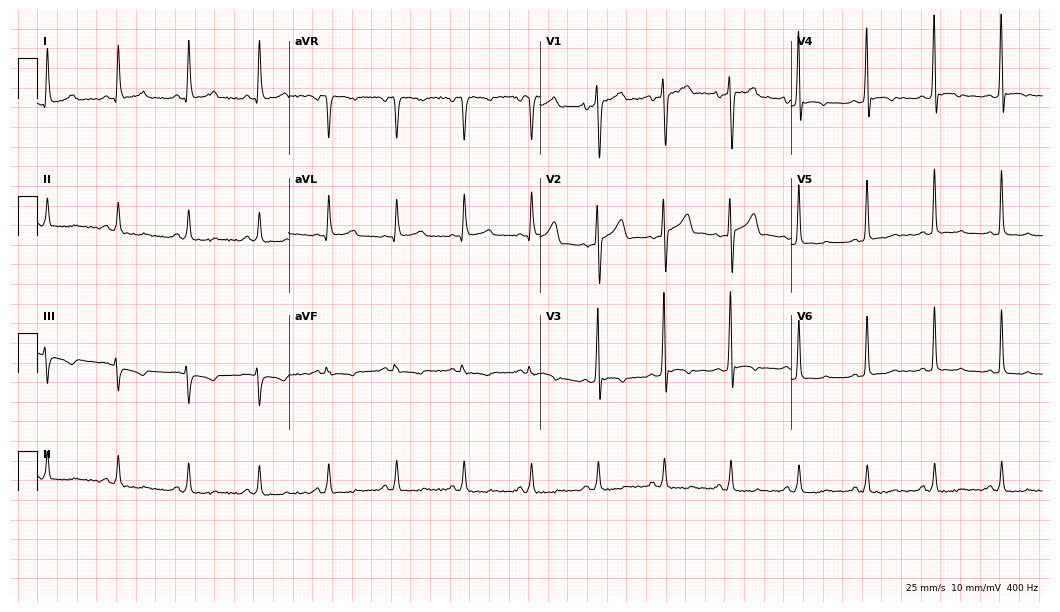
Electrocardiogram, a male patient, 28 years old. Of the six screened findings (first-degree AV block, right bundle branch block, left bundle branch block, sinus bradycardia, atrial fibrillation, sinus tachycardia), none is recorded. Findings outside these six are not listed.